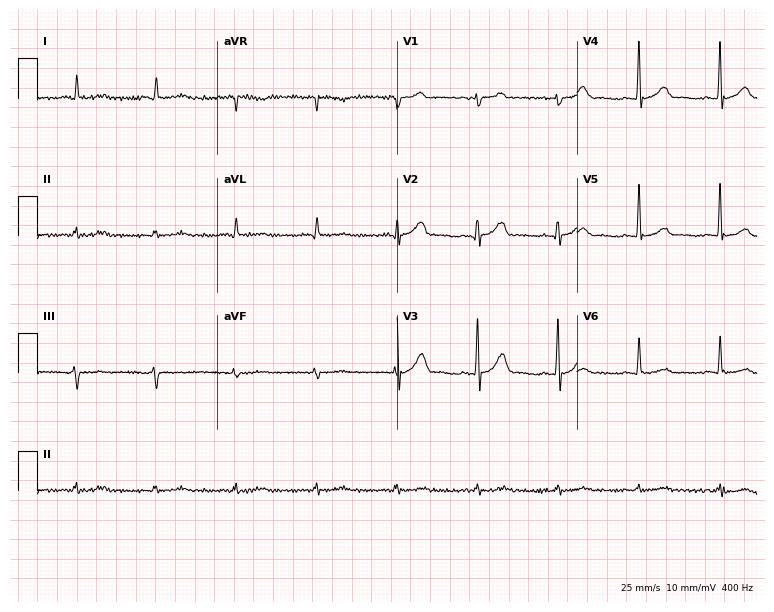
ECG — a male, 67 years old. Labelled as a normal ECG.